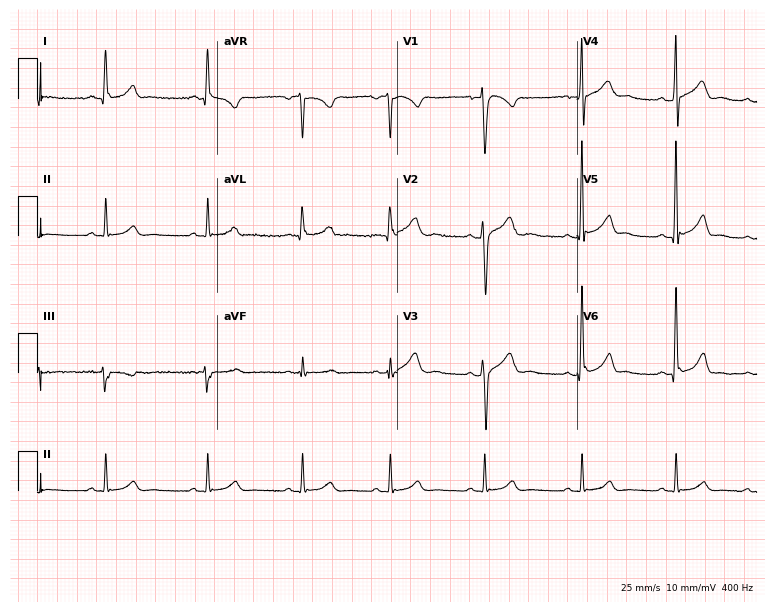
Standard 12-lead ECG recorded from a 24-year-old male patient (7.3-second recording at 400 Hz). Read as a normal ECG.